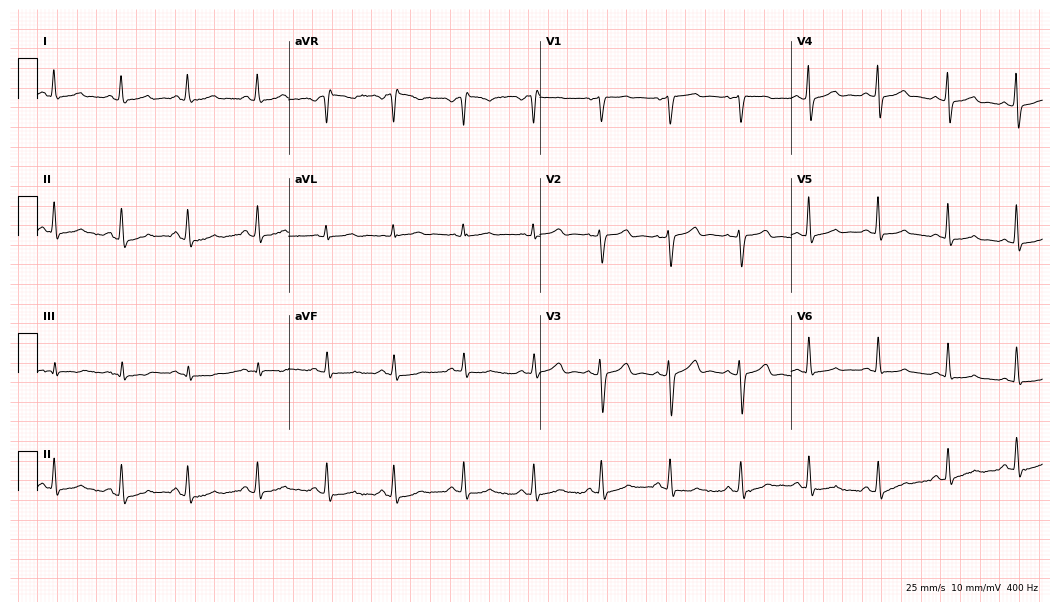
Resting 12-lead electrocardiogram. Patient: a 45-year-old female. Read as a normal ECG.